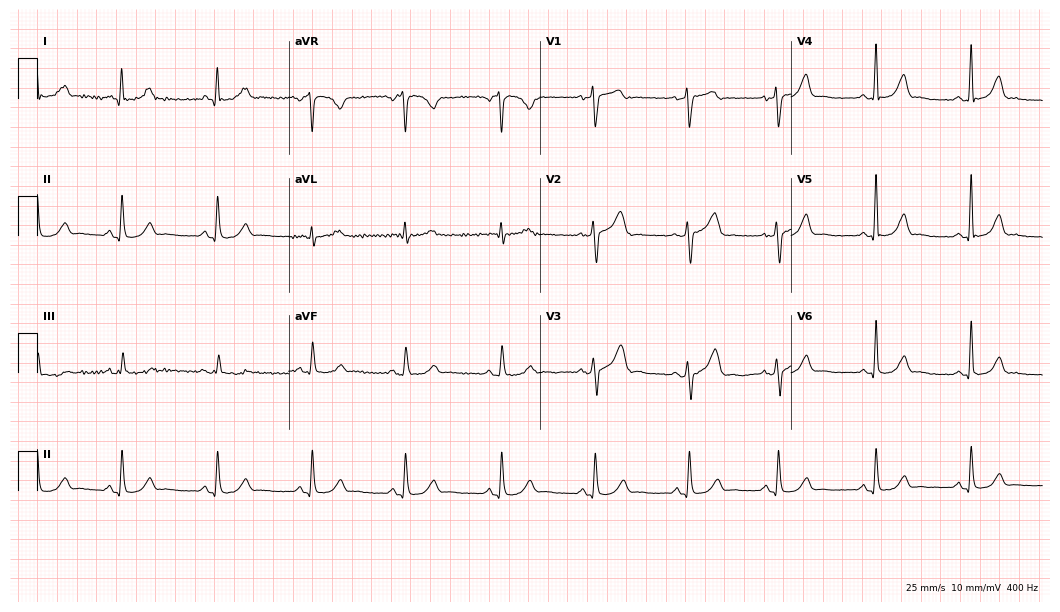
12-lead ECG from a female patient, 57 years old. Labelled as a normal ECG.